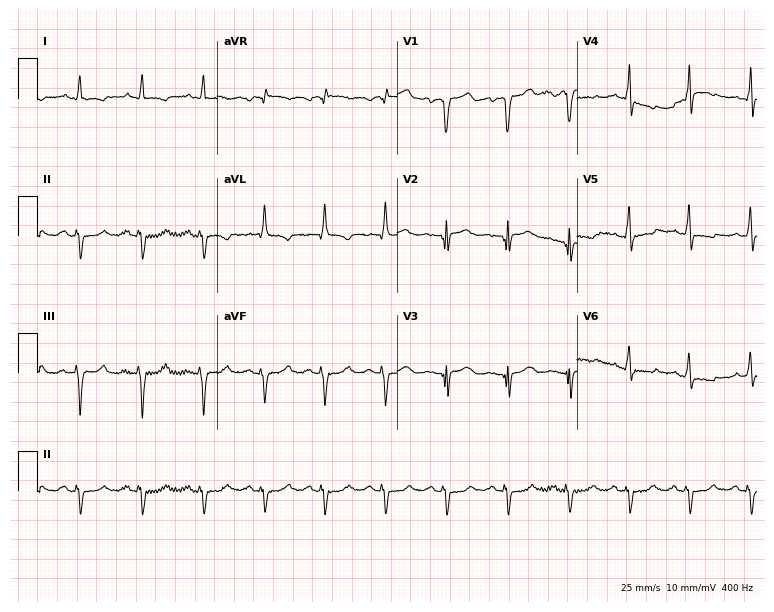
Electrocardiogram, a male, 83 years old. Of the six screened findings (first-degree AV block, right bundle branch block, left bundle branch block, sinus bradycardia, atrial fibrillation, sinus tachycardia), none is recorded.